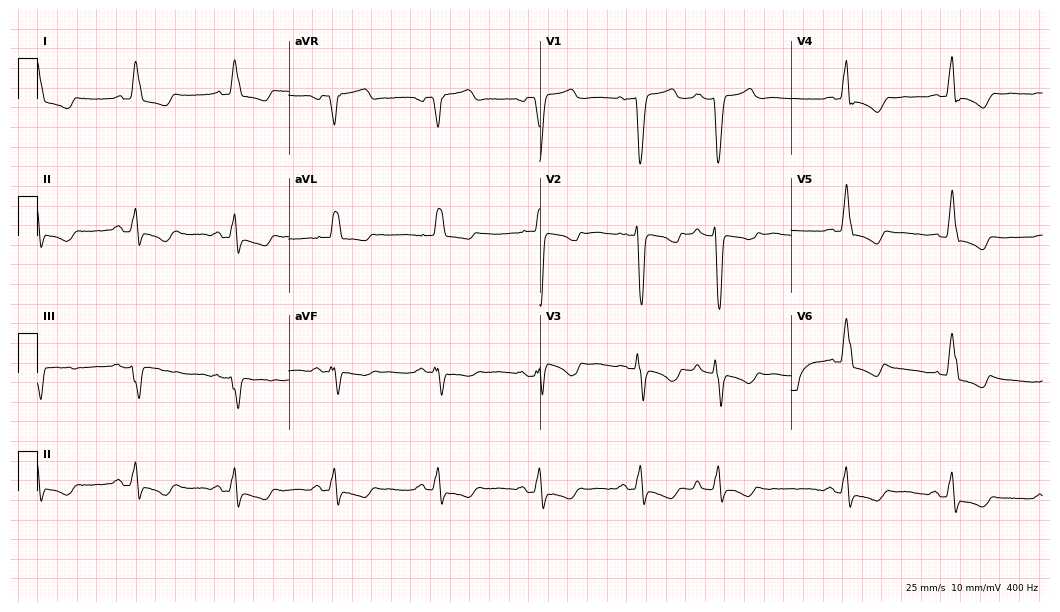
12-lead ECG (10.2-second recording at 400 Hz) from a 74-year-old female. Findings include left bundle branch block.